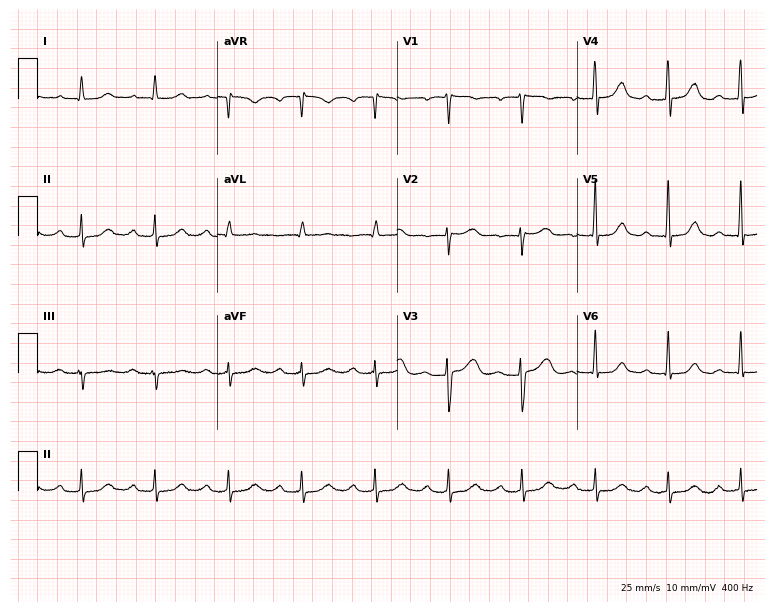
ECG (7.3-second recording at 400 Hz) — a 38-year-old female patient. Screened for six findings — first-degree AV block, right bundle branch block, left bundle branch block, sinus bradycardia, atrial fibrillation, sinus tachycardia — none is recorded.